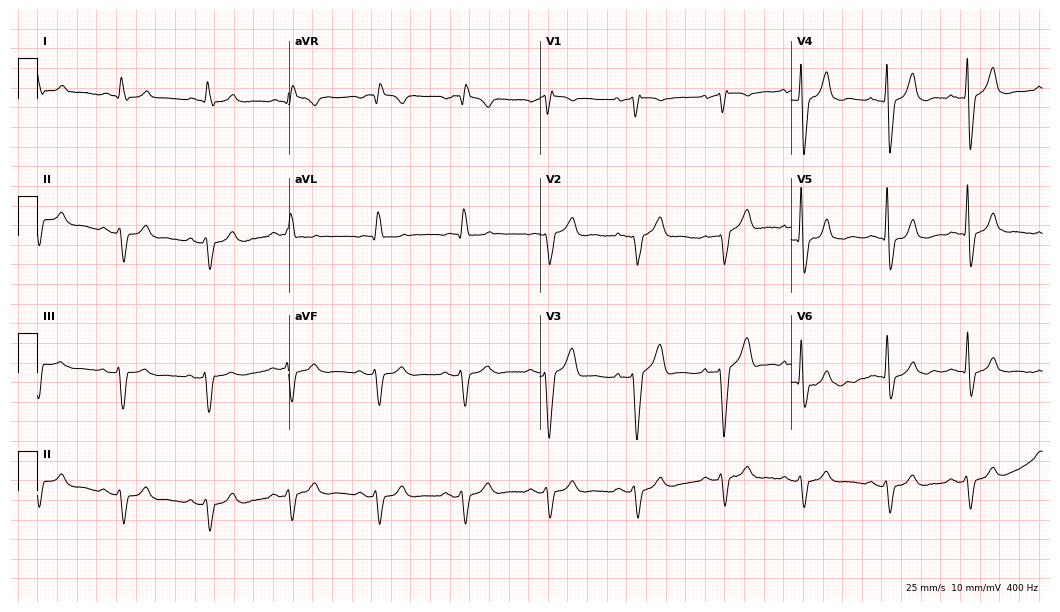
Resting 12-lead electrocardiogram. Patient: a male, 85 years old. None of these six findings is recorded: first-degree AV block, right bundle branch block, left bundle branch block, sinus bradycardia, atrial fibrillation, sinus tachycardia. Only these six findings were labelled.